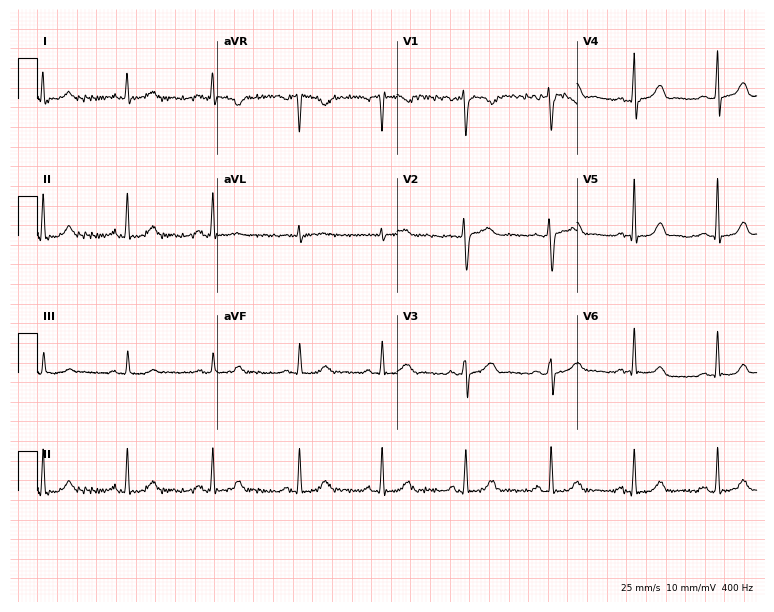
ECG — a 27-year-old woman. Labelled as a normal ECG.